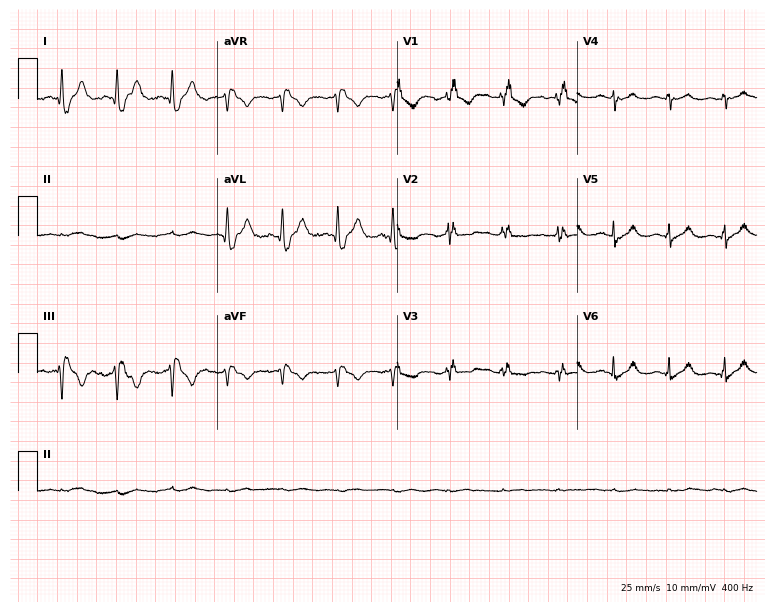
12-lead ECG from a woman, 78 years old. Screened for six findings — first-degree AV block, right bundle branch block, left bundle branch block, sinus bradycardia, atrial fibrillation, sinus tachycardia — none is recorded.